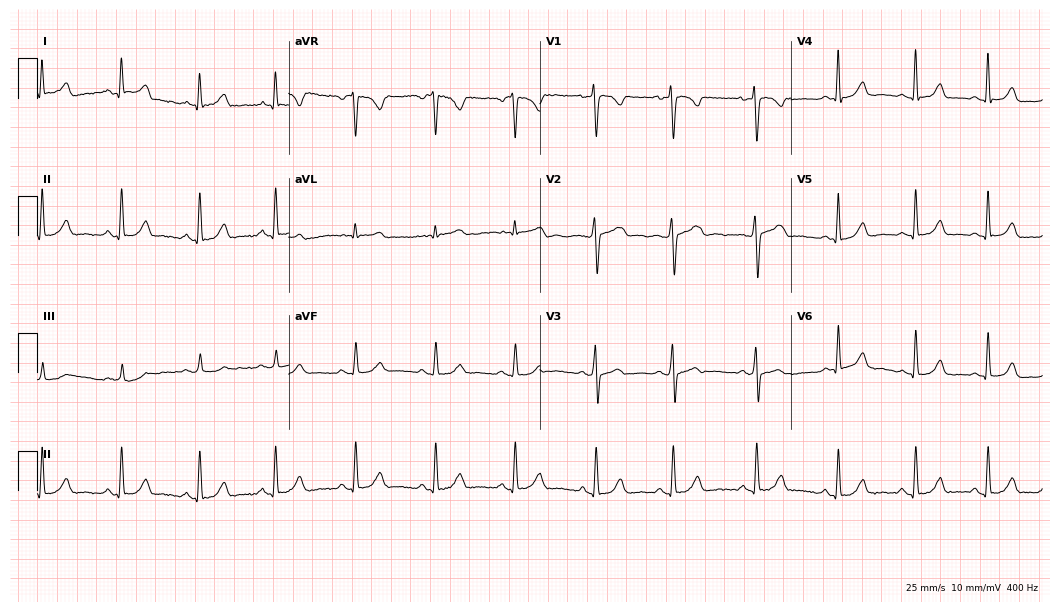
Resting 12-lead electrocardiogram. Patient: a 32-year-old female. Read as a normal ECG.